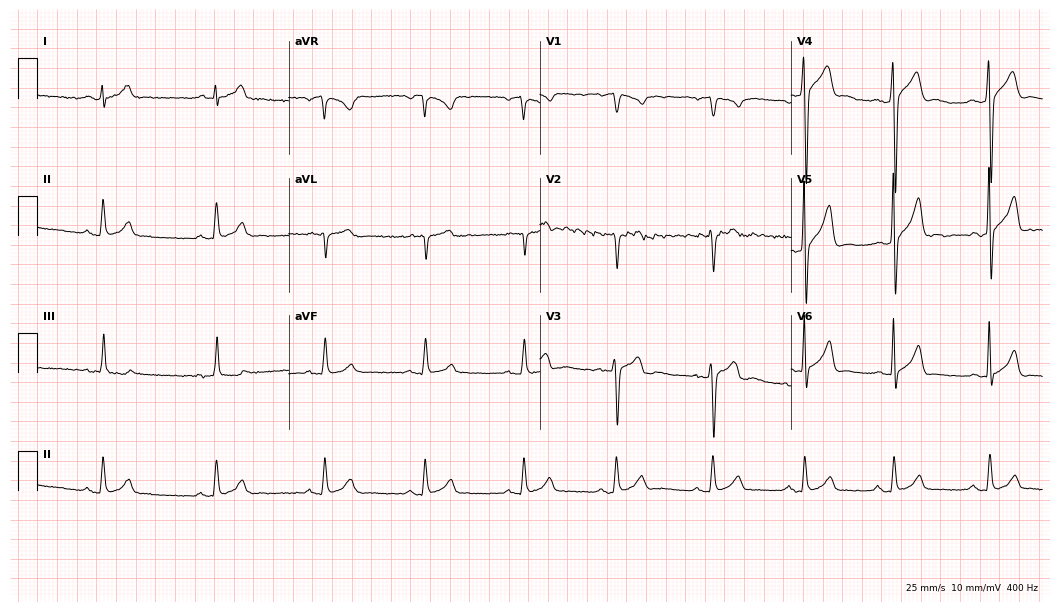
ECG — a 34-year-old man. Labelled as a normal ECG.